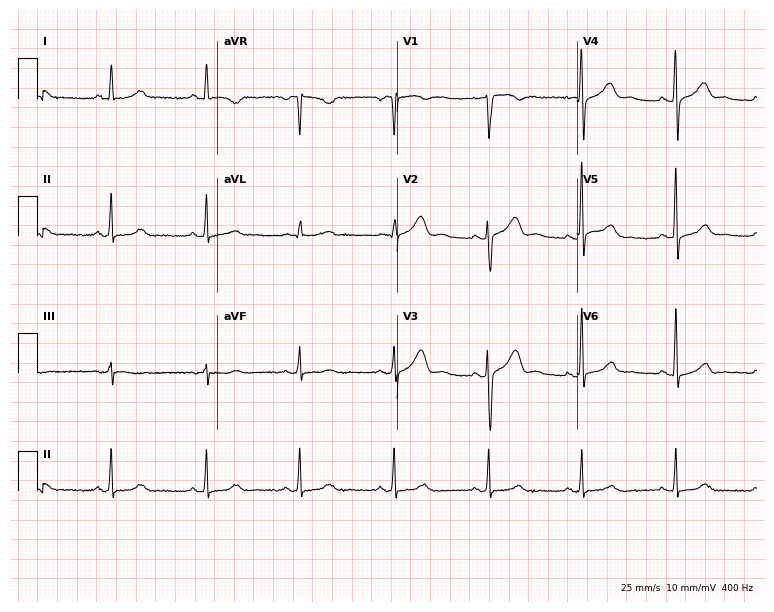
12-lead ECG from a woman, 48 years old (7.3-second recording at 400 Hz). Recorded interpretation: within normal limits.